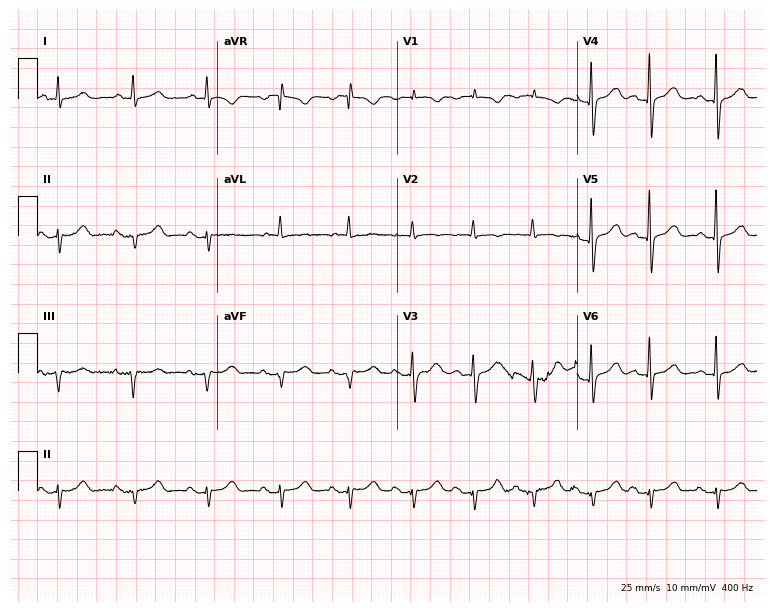
Electrocardiogram, an 84-year-old male. Of the six screened findings (first-degree AV block, right bundle branch block, left bundle branch block, sinus bradycardia, atrial fibrillation, sinus tachycardia), none is recorded. Only these six findings were labelled.